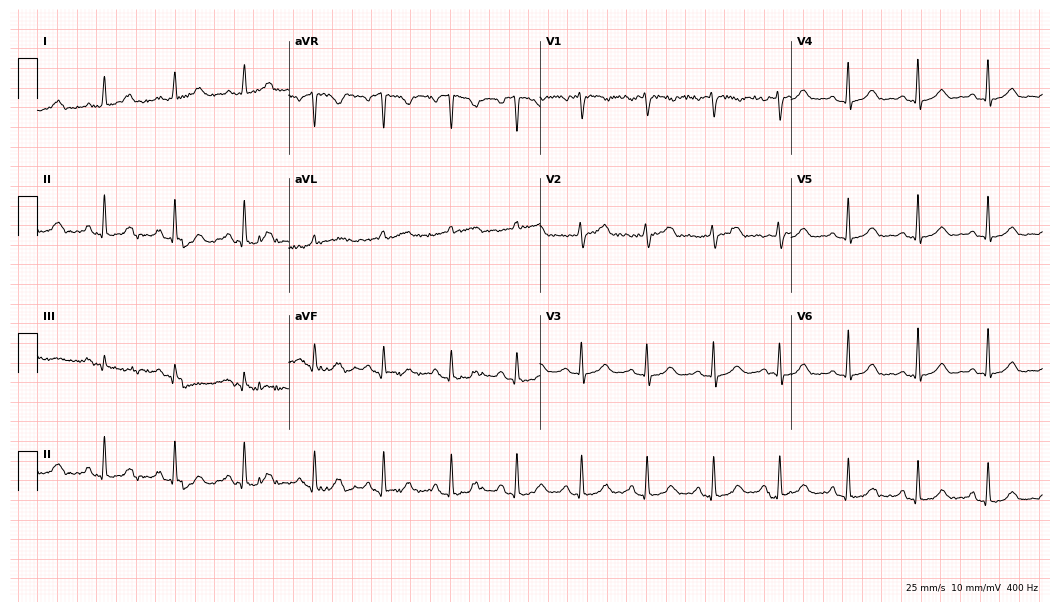
12-lead ECG (10.2-second recording at 400 Hz) from a 69-year-old woman. Labelled as a normal ECG.